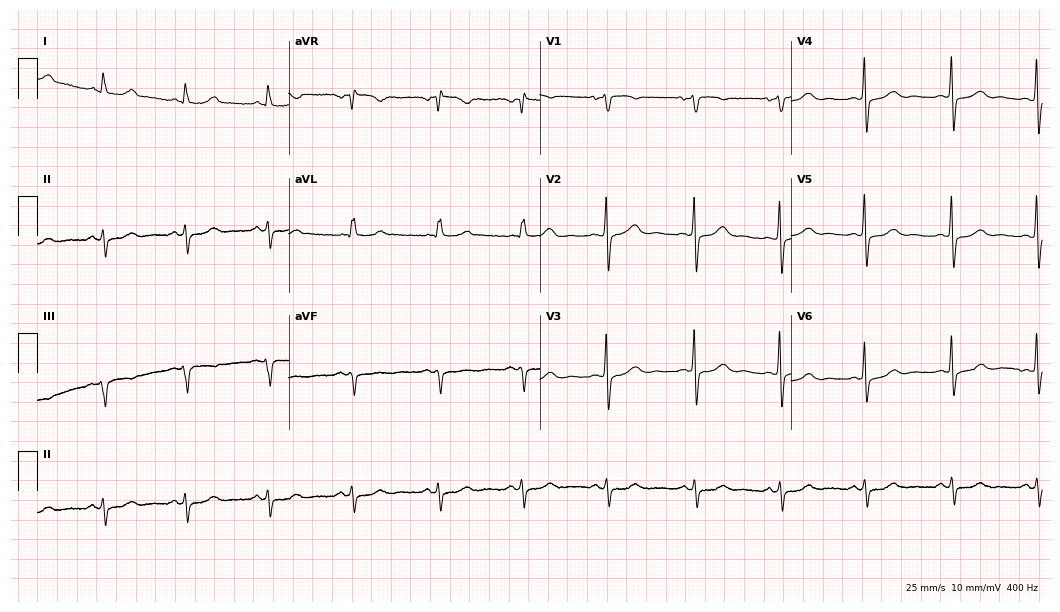
Resting 12-lead electrocardiogram (10.2-second recording at 400 Hz). Patient: a 50-year-old female. None of these six findings is recorded: first-degree AV block, right bundle branch block (RBBB), left bundle branch block (LBBB), sinus bradycardia, atrial fibrillation (AF), sinus tachycardia.